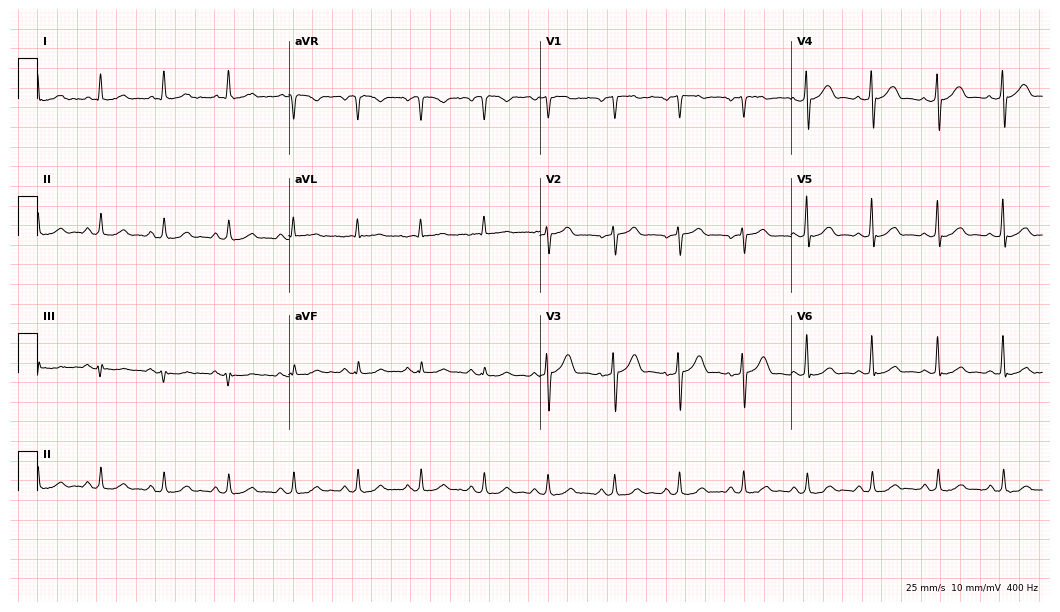
ECG — a 72-year-old male patient. Labelled as a normal ECG.